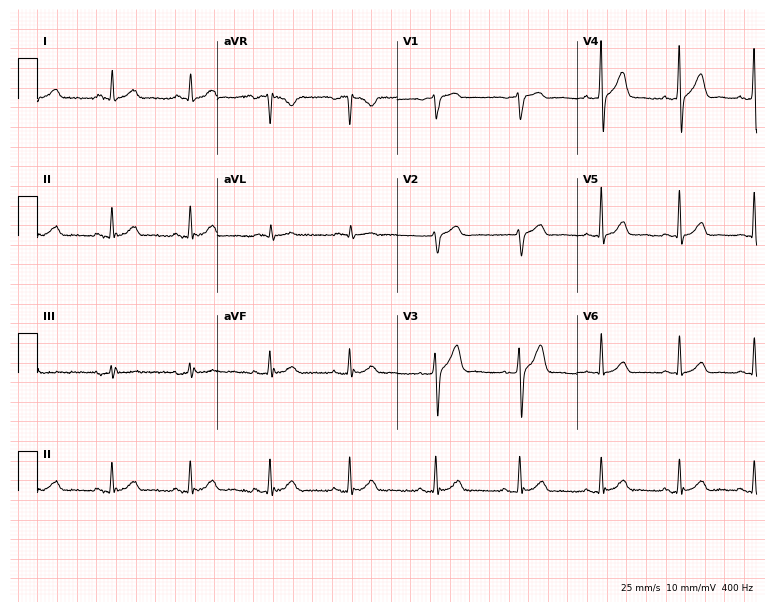
Electrocardiogram, a male patient, 52 years old. Of the six screened findings (first-degree AV block, right bundle branch block (RBBB), left bundle branch block (LBBB), sinus bradycardia, atrial fibrillation (AF), sinus tachycardia), none is recorded. Only these six findings were labelled.